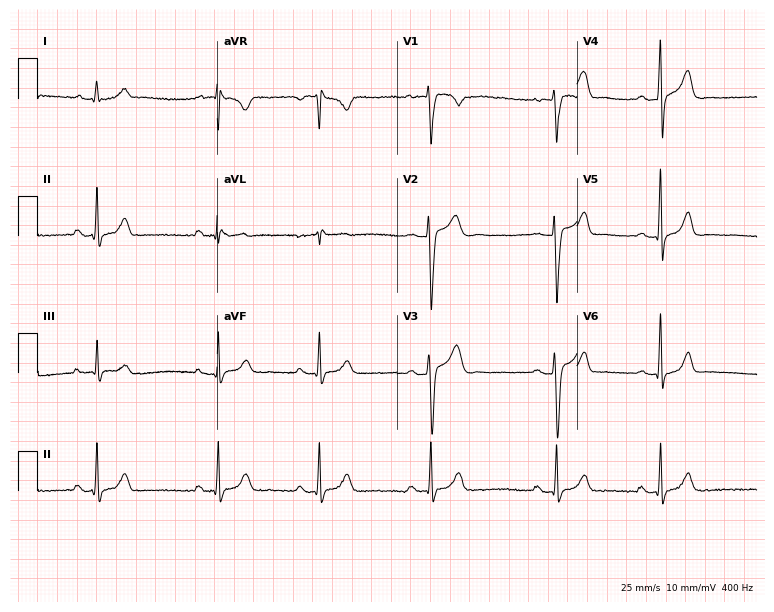
Resting 12-lead electrocardiogram (7.3-second recording at 400 Hz). Patient: a 29-year-old man. None of these six findings is recorded: first-degree AV block, right bundle branch block, left bundle branch block, sinus bradycardia, atrial fibrillation, sinus tachycardia.